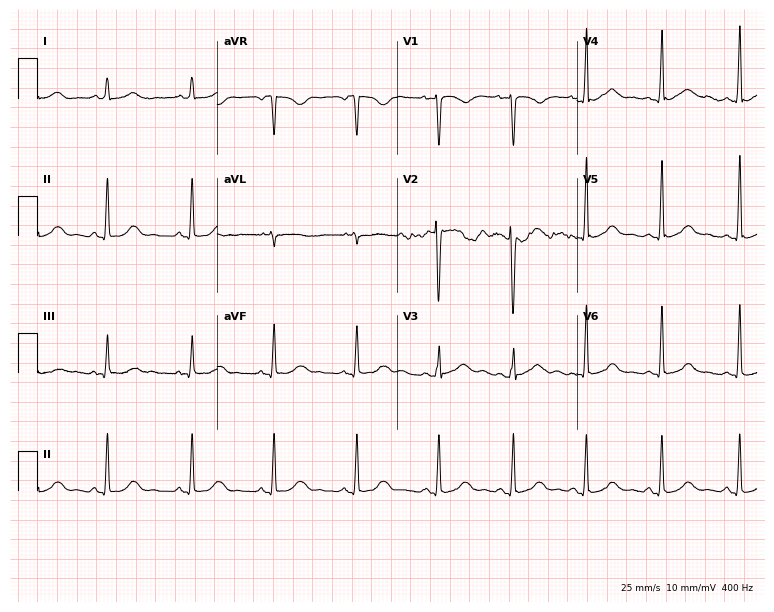
Standard 12-lead ECG recorded from a female patient, 30 years old (7.3-second recording at 400 Hz). Read as a normal ECG.